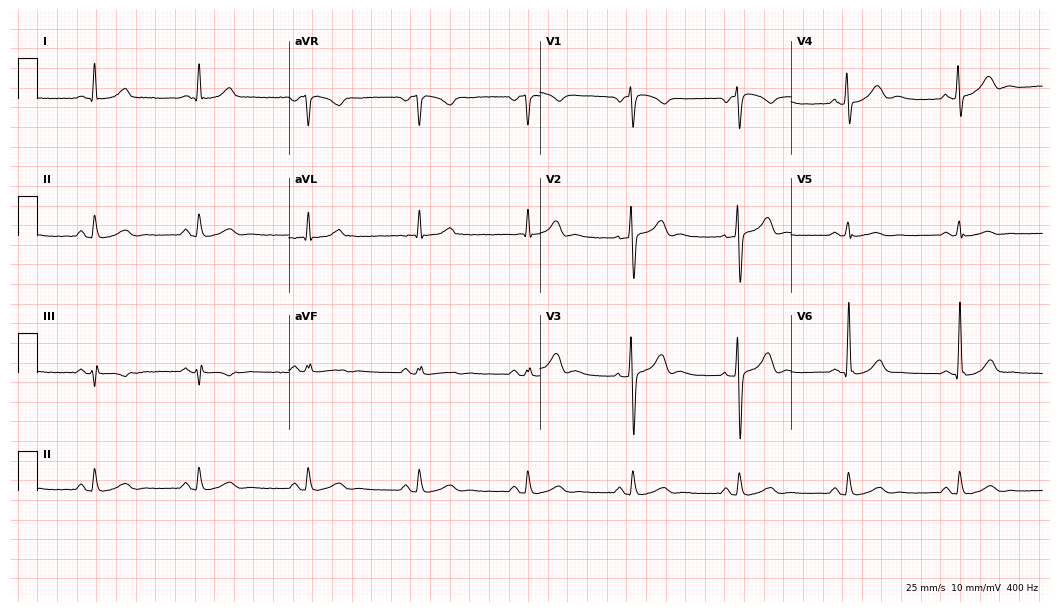
Resting 12-lead electrocardiogram. Patient: a male, 42 years old. Read as a normal ECG.